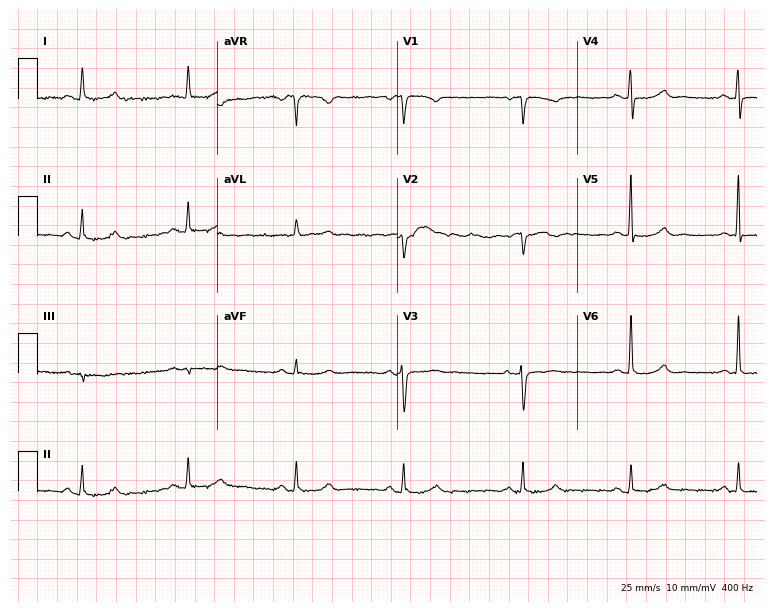
ECG (7.3-second recording at 400 Hz) — a woman, 80 years old. Labelled as a normal ECG.